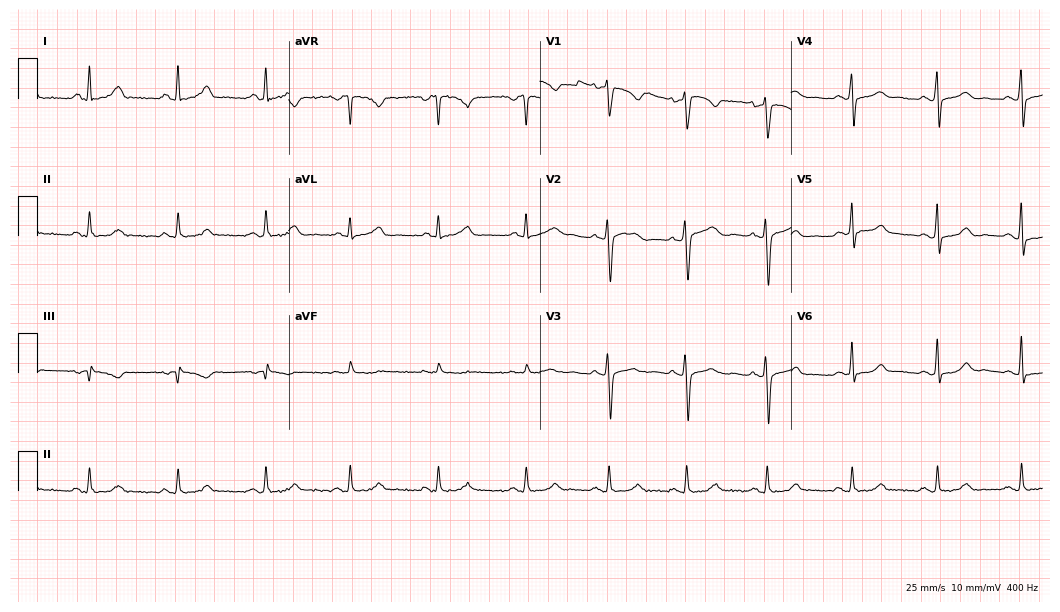
12-lead ECG (10.2-second recording at 400 Hz) from a 31-year-old woman. Labelled as a normal ECG.